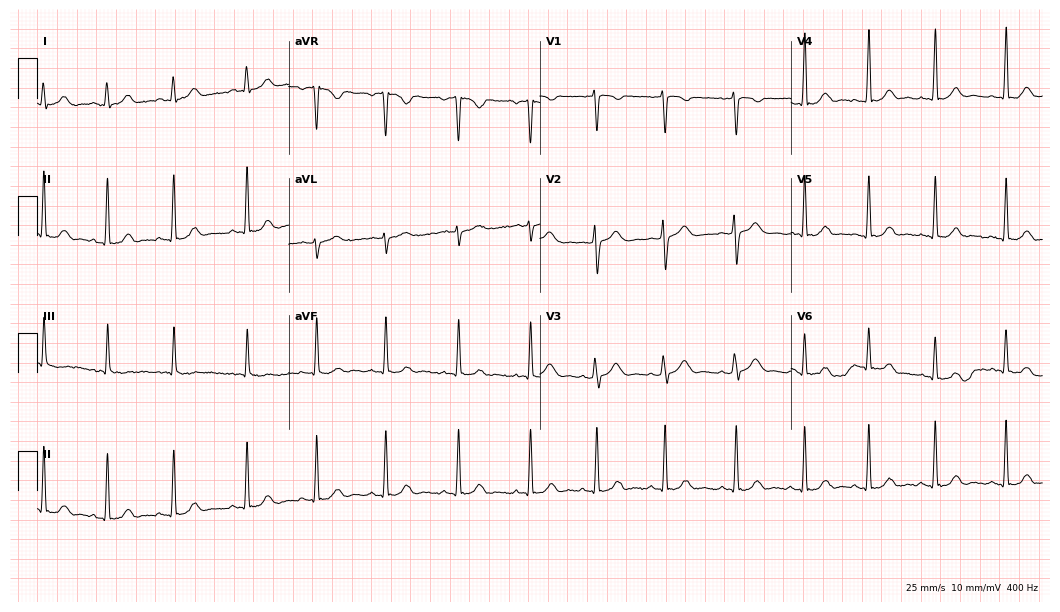
Standard 12-lead ECG recorded from a woman, 22 years old. Read as a normal ECG.